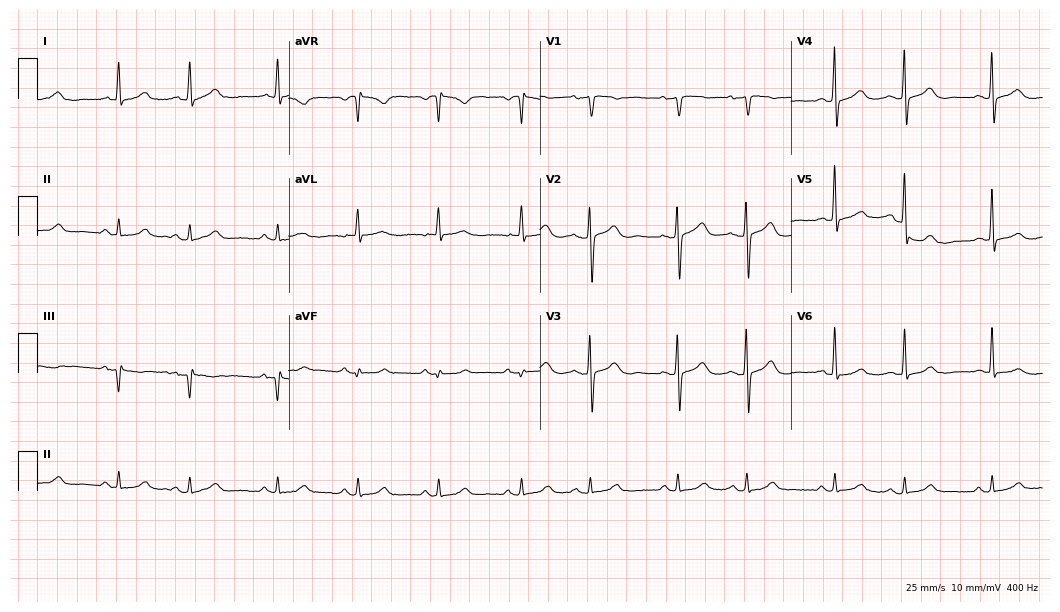
Resting 12-lead electrocardiogram (10.2-second recording at 400 Hz). Patient: a female, 65 years old. None of these six findings is recorded: first-degree AV block, right bundle branch block, left bundle branch block, sinus bradycardia, atrial fibrillation, sinus tachycardia. Only these six findings were labelled.